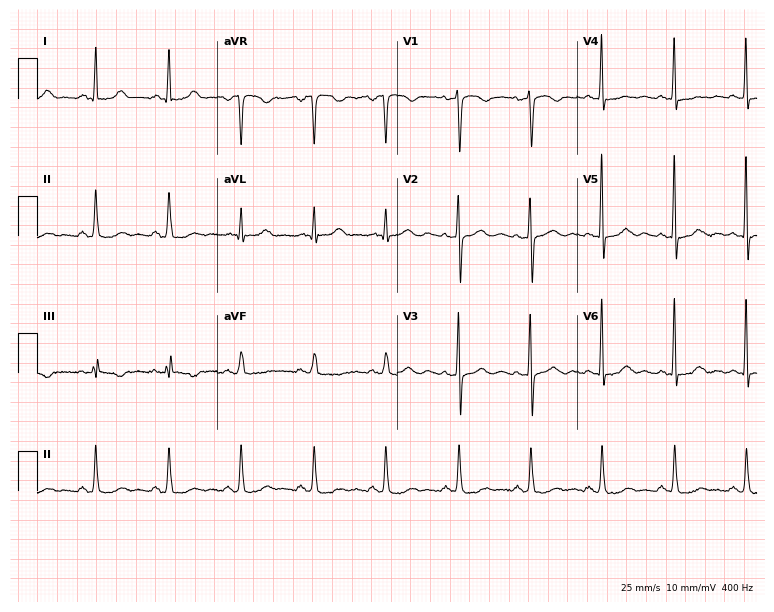
12-lead ECG (7.3-second recording at 400 Hz) from a female, 44 years old. Screened for six findings — first-degree AV block, right bundle branch block, left bundle branch block, sinus bradycardia, atrial fibrillation, sinus tachycardia — none is recorded.